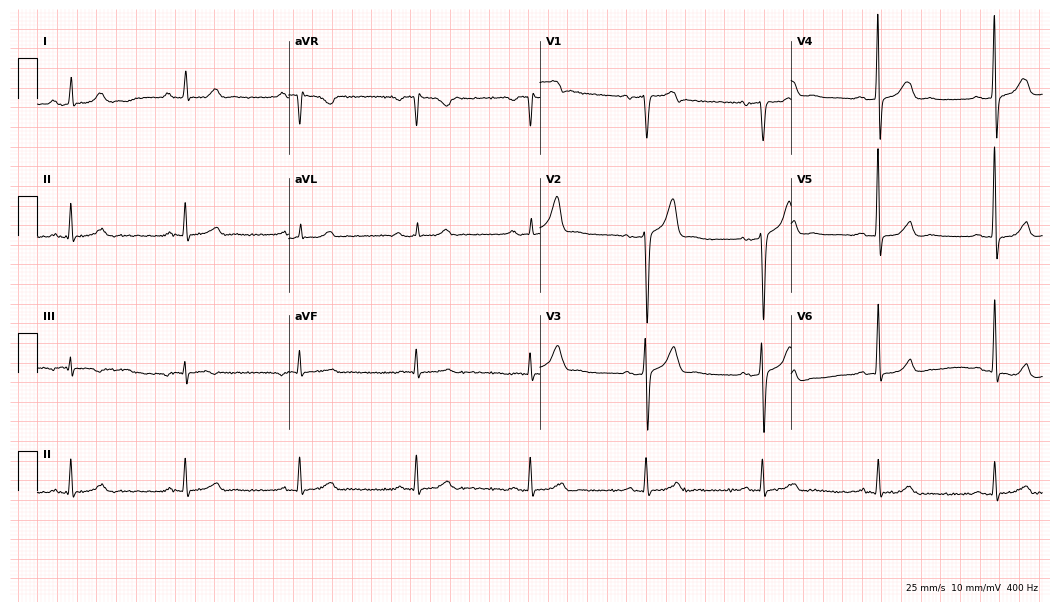
Standard 12-lead ECG recorded from a 64-year-old man. Read as a normal ECG.